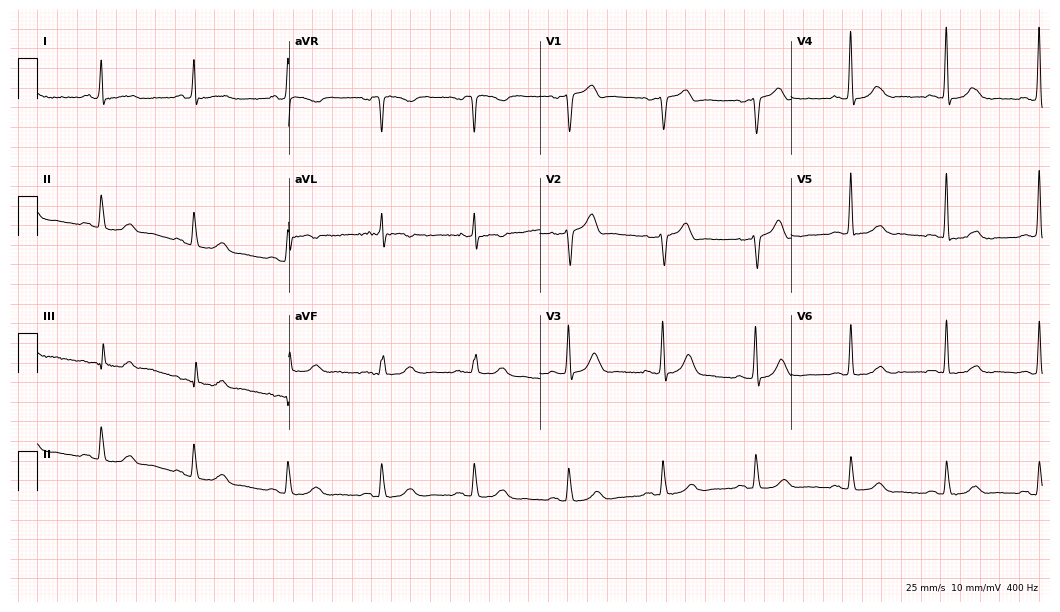
Electrocardiogram (10.2-second recording at 400 Hz), a male, 68 years old. Of the six screened findings (first-degree AV block, right bundle branch block (RBBB), left bundle branch block (LBBB), sinus bradycardia, atrial fibrillation (AF), sinus tachycardia), none is recorded. Other findings, if any, are not listed.